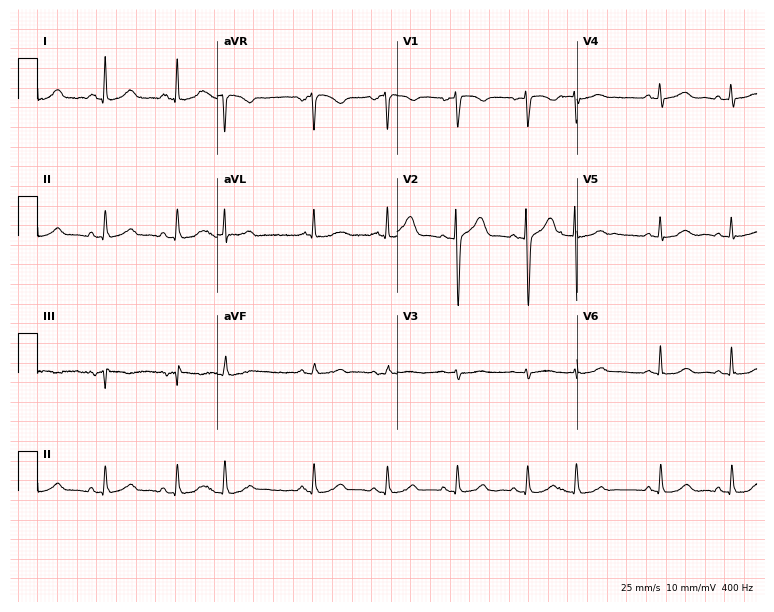
12-lead ECG (7.3-second recording at 400 Hz) from a female patient, 60 years old. Screened for six findings — first-degree AV block, right bundle branch block (RBBB), left bundle branch block (LBBB), sinus bradycardia, atrial fibrillation (AF), sinus tachycardia — none is recorded.